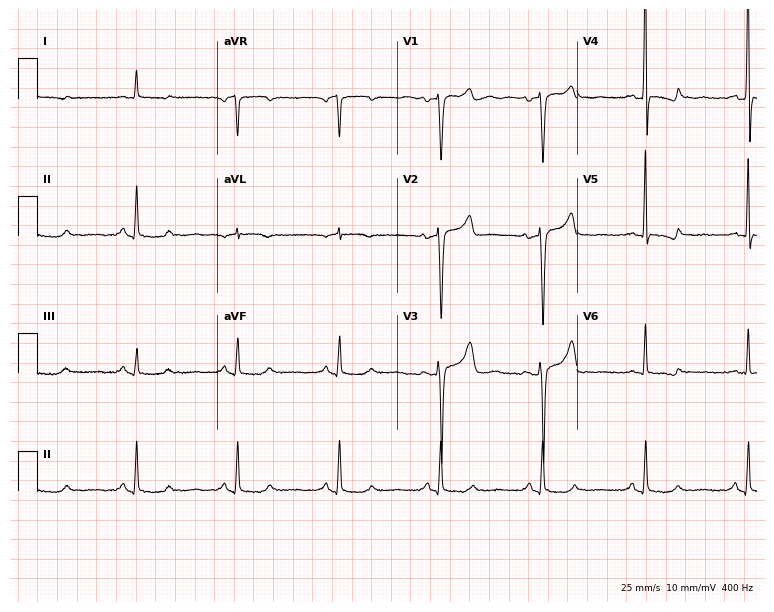
Resting 12-lead electrocardiogram (7.3-second recording at 400 Hz). Patient: a man, 48 years old. None of these six findings is recorded: first-degree AV block, right bundle branch block, left bundle branch block, sinus bradycardia, atrial fibrillation, sinus tachycardia.